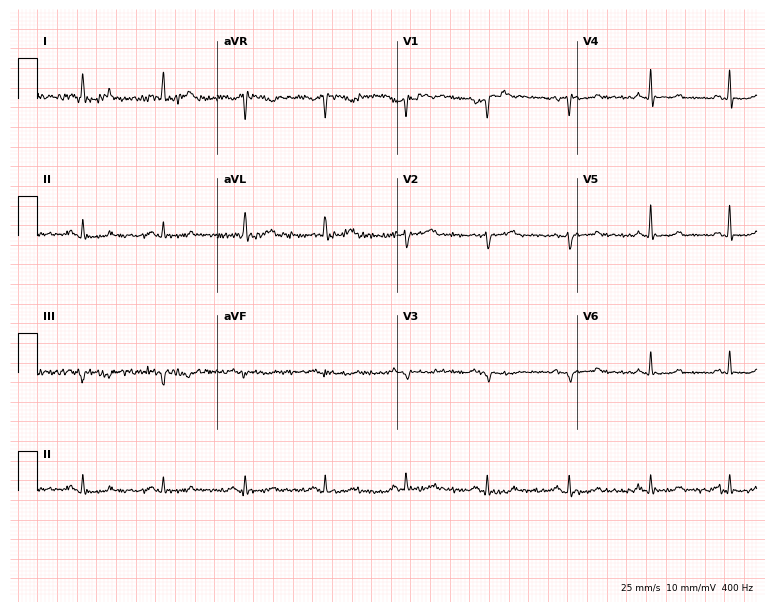
ECG (7.3-second recording at 400 Hz) — a 73-year-old woman. Screened for six findings — first-degree AV block, right bundle branch block (RBBB), left bundle branch block (LBBB), sinus bradycardia, atrial fibrillation (AF), sinus tachycardia — none is recorded.